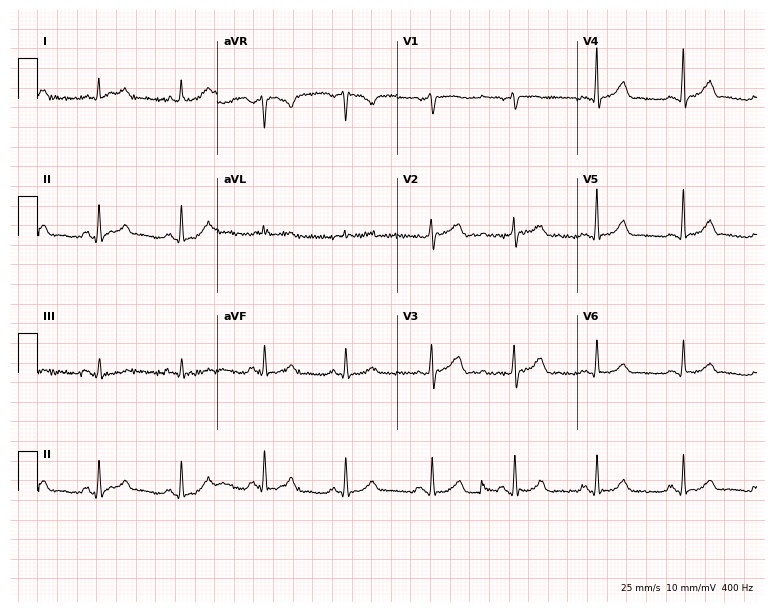
ECG (7.3-second recording at 400 Hz) — a 61-year-old female. Labelled as a normal ECG.